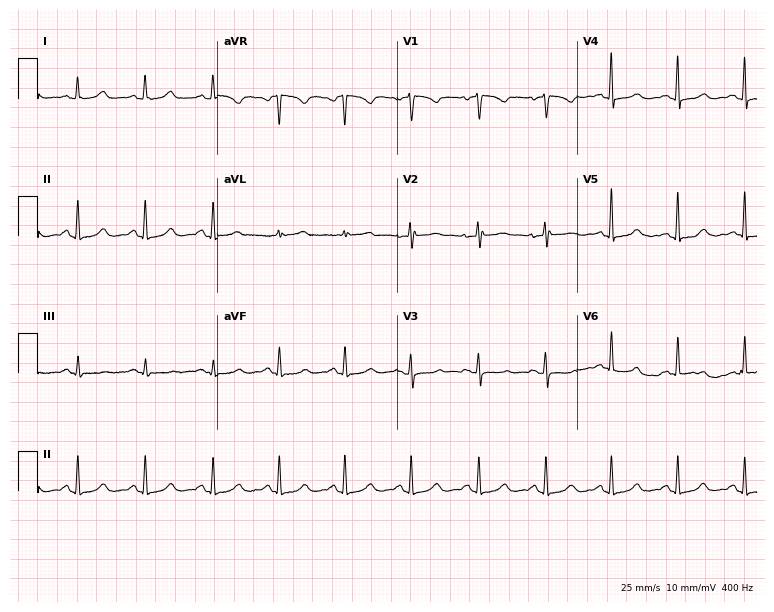
Standard 12-lead ECG recorded from a 56-year-old female (7.3-second recording at 400 Hz). Read as a normal ECG.